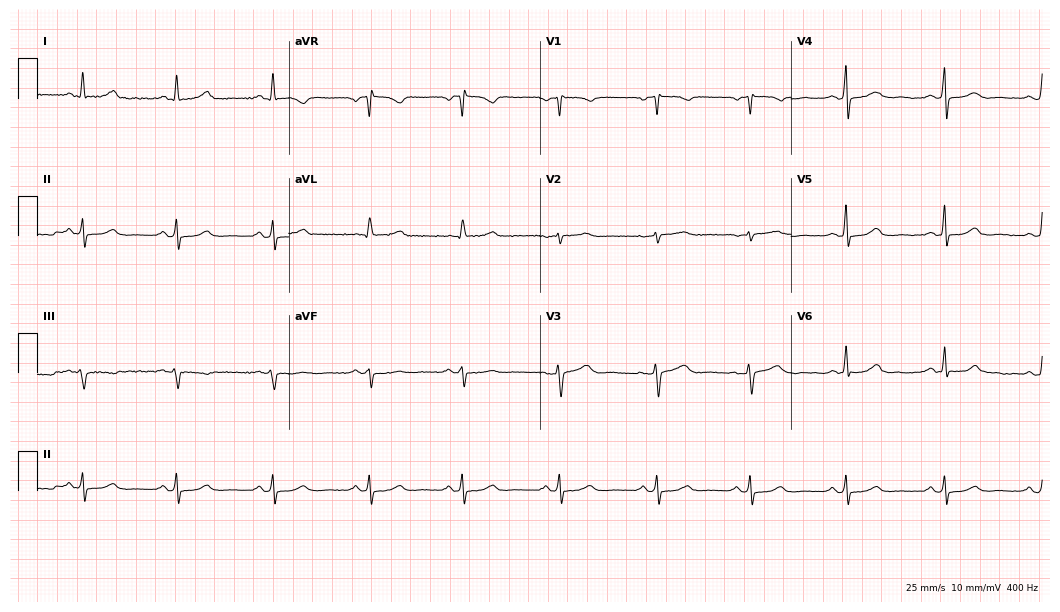
Electrocardiogram, a 50-year-old female. Overall reading on record: normal ECG.